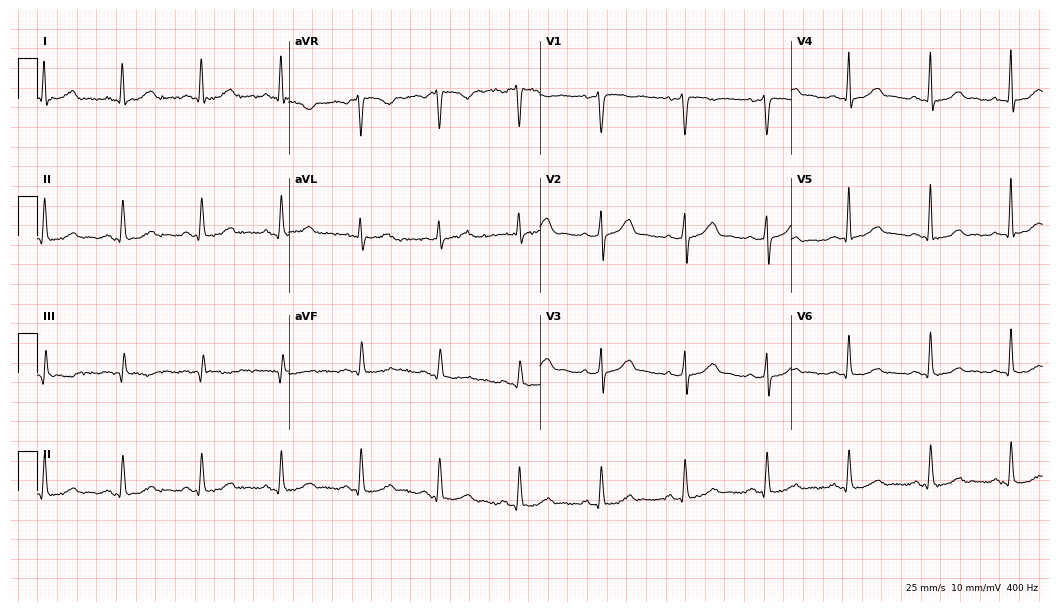
12-lead ECG from a 54-year-old female. Recorded interpretation: within normal limits.